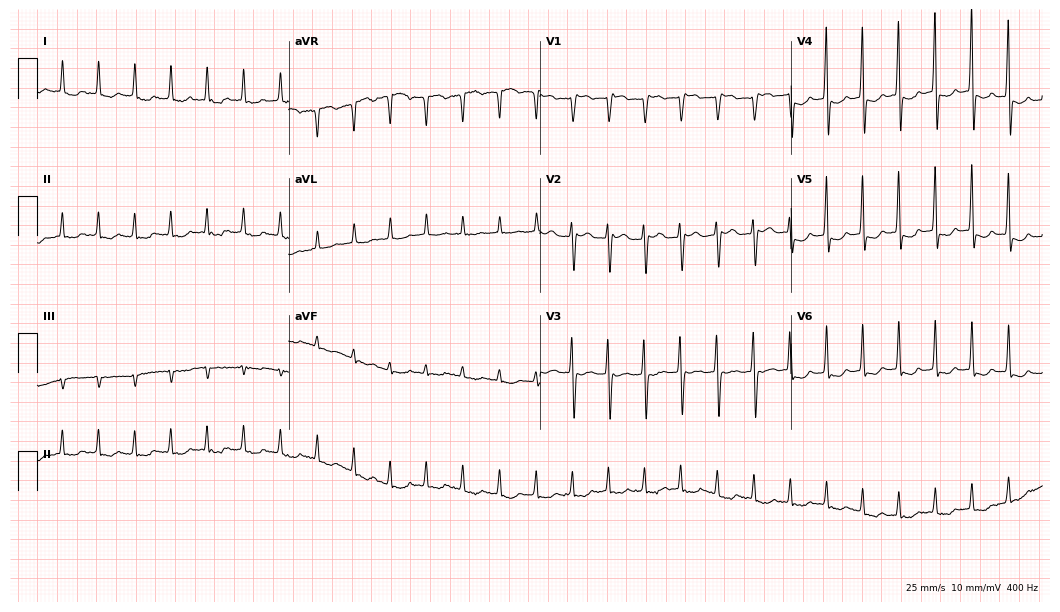
Electrocardiogram, a female, 80 years old. Of the six screened findings (first-degree AV block, right bundle branch block, left bundle branch block, sinus bradycardia, atrial fibrillation, sinus tachycardia), none is recorded.